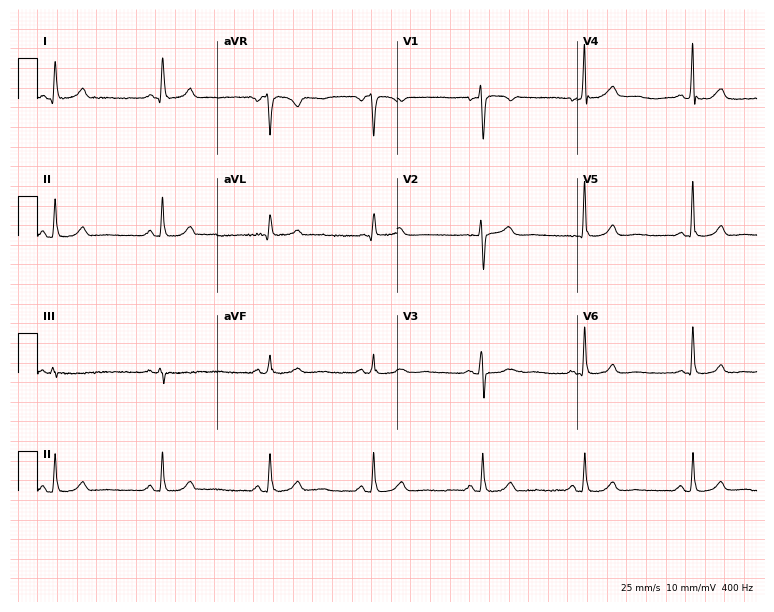
12-lead ECG from a 66-year-old female patient. Screened for six findings — first-degree AV block, right bundle branch block, left bundle branch block, sinus bradycardia, atrial fibrillation, sinus tachycardia — none is recorded. Findings outside these six are not listed.